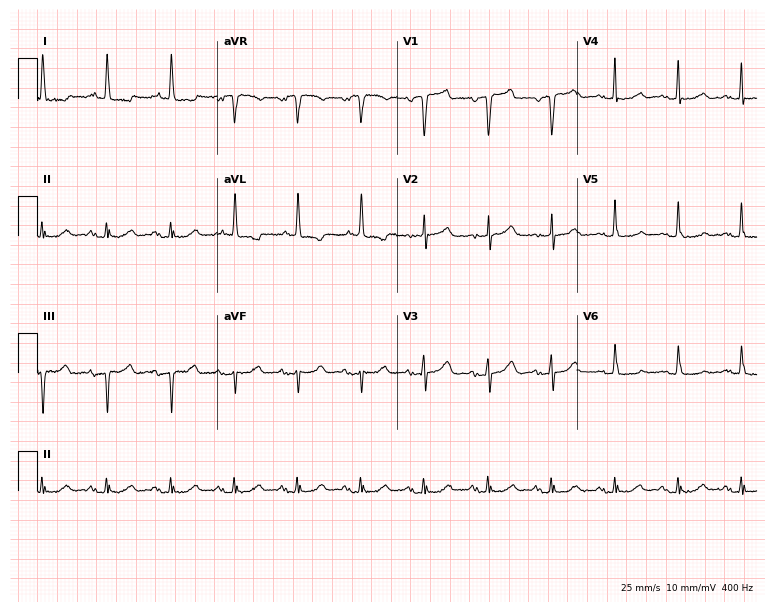
Standard 12-lead ECG recorded from an 81-year-old female patient (7.3-second recording at 400 Hz). None of these six findings is recorded: first-degree AV block, right bundle branch block, left bundle branch block, sinus bradycardia, atrial fibrillation, sinus tachycardia. Other findings, if any, are not listed.